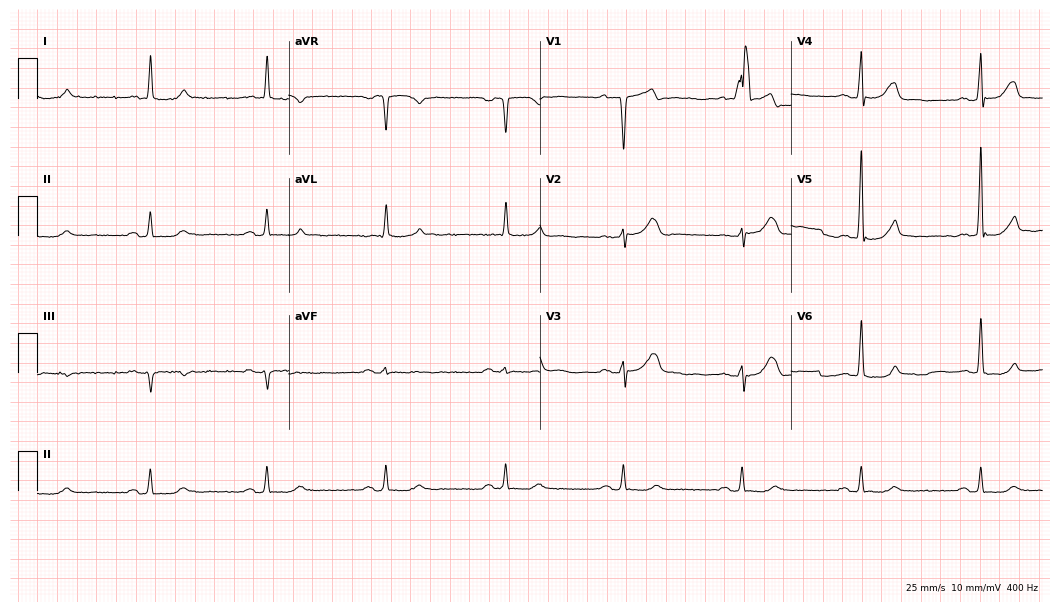
Standard 12-lead ECG recorded from a male patient, 73 years old (10.2-second recording at 400 Hz). The tracing shows sinus bradycardia (a sinus rate of 50 beats per minute or less).